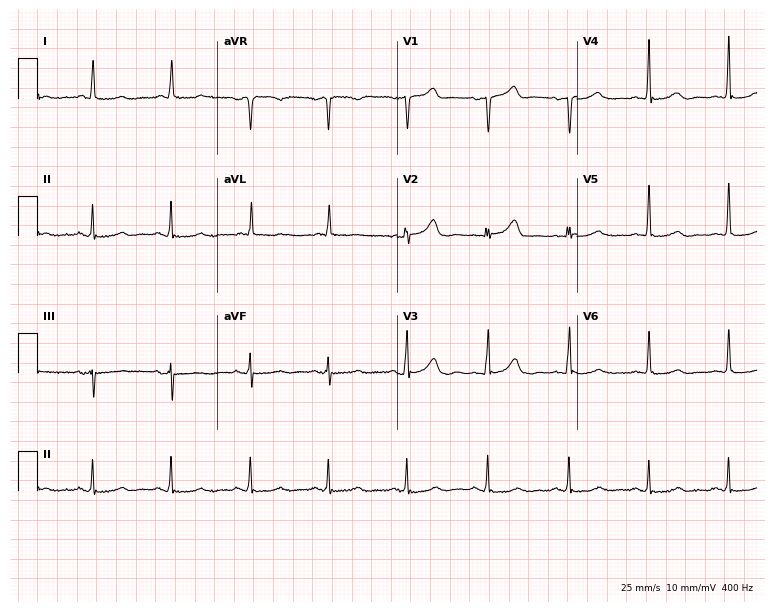
Resting 12-lead electrocardiogram (7.3-second recording at 400 Hz). Patient: a female, 83 years old. None of these six findings is recorded: first-degree AV block, right bundle branch block, left bundle branch block, sinus bradycardia, atrial fibrillation, sinus tachycardia. Other findings, if any, are not listed.